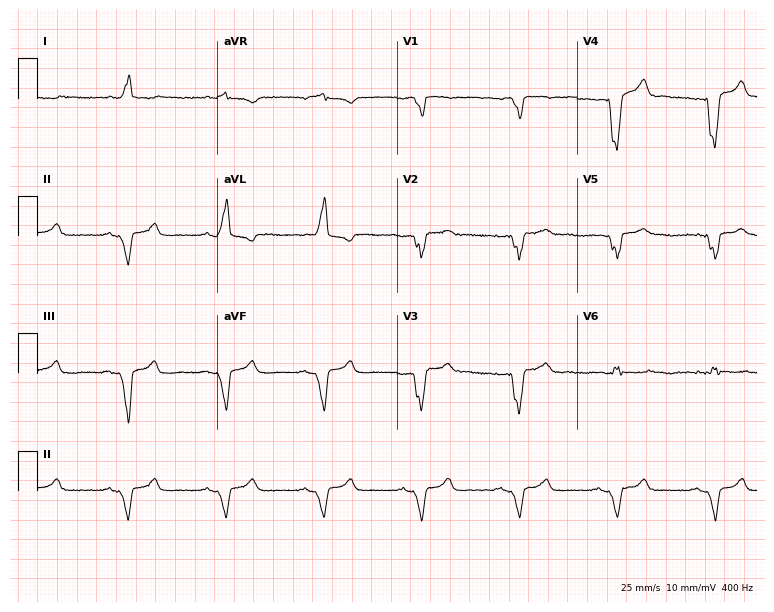
Standard 12-lead ECG recorded from a 28-year-old female patient (7.3-second recording at 400 Hz). The tracing shows left bundle branch block (LBBB).